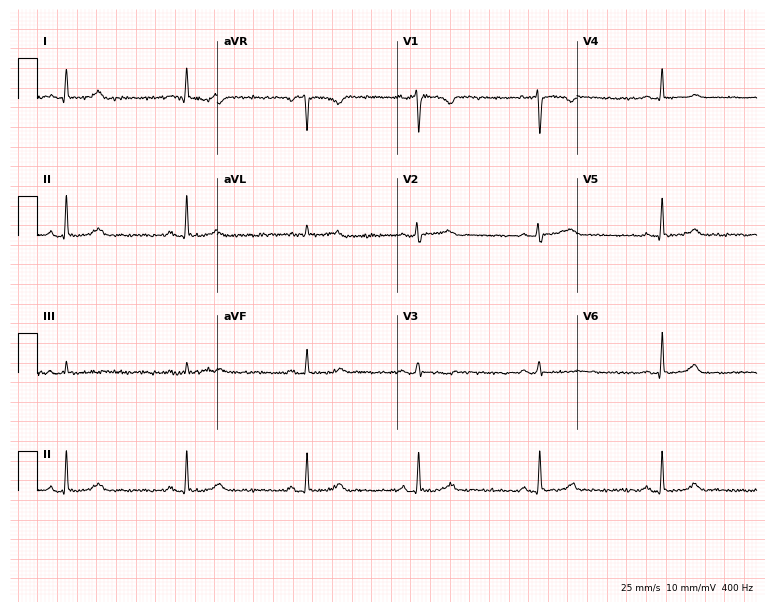
Electrocardiogram, a female patient, 44 years old. Of the six screened findings (first-degree AV block, right bundle branch block, left bundle branch block, sinus bradycardia, atrial fibrillation, sinus tachycardia), none is recorded. Other findings, if any, are not listed.